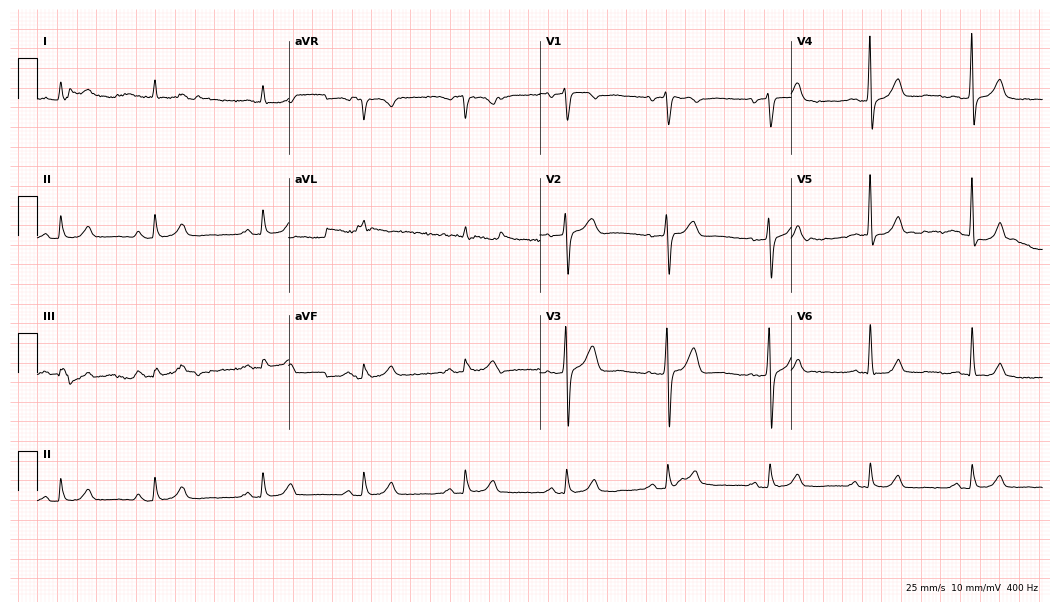
ECG — a 71-year-old male. Labelled as a normal ECG.